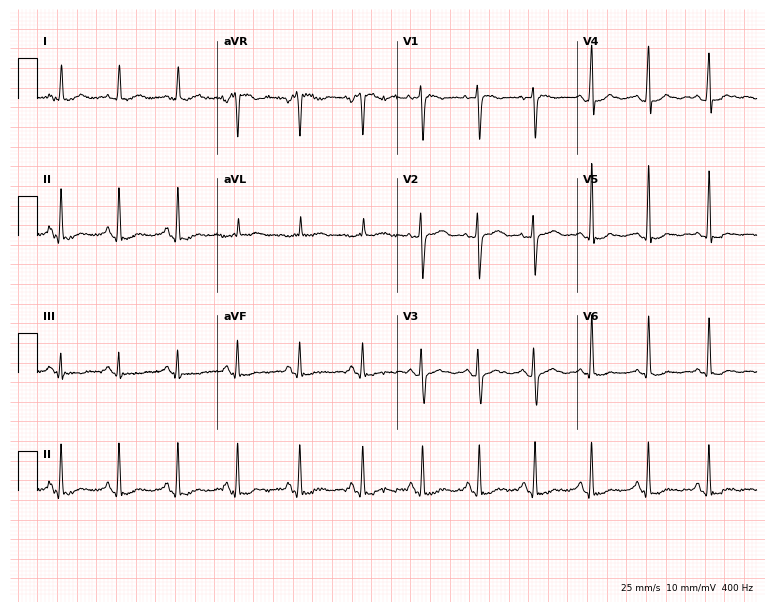
12-lead ECG from a 35-year-old woman. Shows sinus tachycardia (a sinus rate of 100 beats per minute or more).